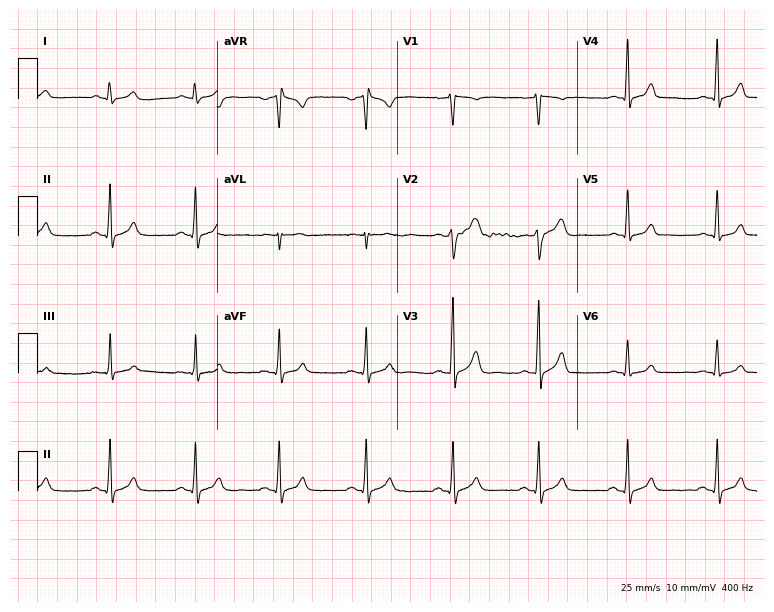
Resting 12-lead electrocardiogram. Patient: a male, 35 years old. Read as a normal ECG.